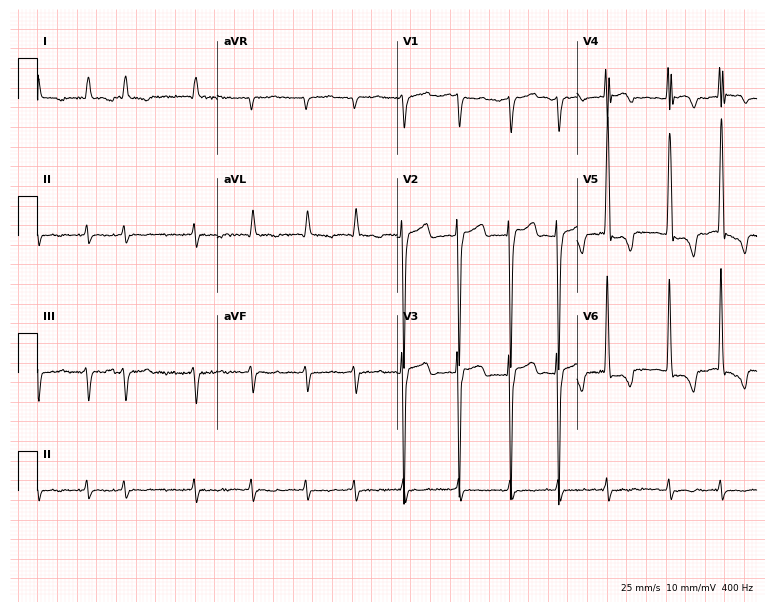
Electrocardiogram (7.3-second recording at 400 Hz), an 84-year-old female patient. Interpretation includes atrial fibrillation.